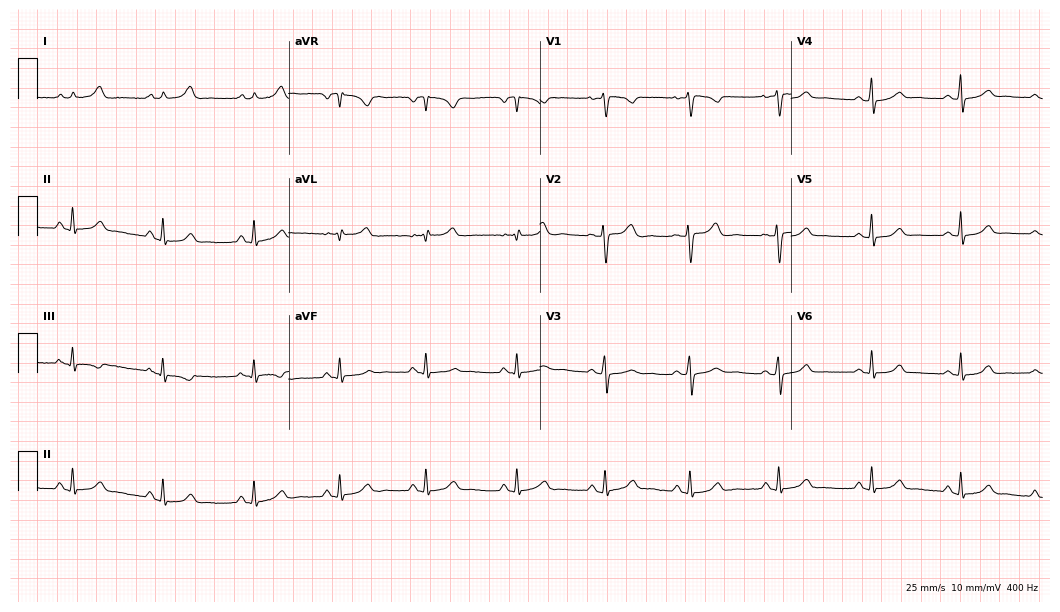
Resting 12-lead electrocardiogram. Patient: a 30-year-old woman. Read as a normal ECG.